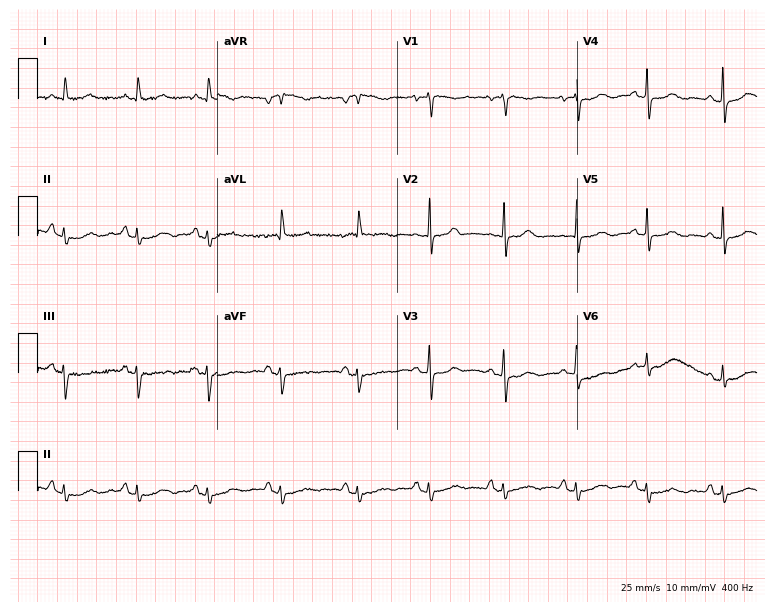
ECG — a 75-year-old woman. Screened for six findings — first-degree AV block, right bundle branch block, left bundle branch block, sinus bradycardia, atrial fibrillation, sinus tachycardia — none is recorded. Other findings, if any, are not listed.